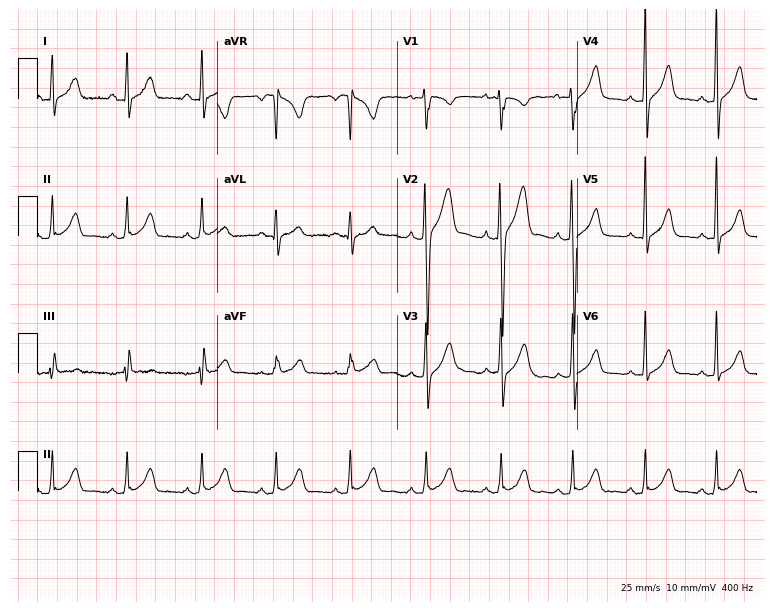
Electrocardiogram (7.3-second recording at 400 Hz), a 28-year-old man. Overall reading on record: normal ECG.